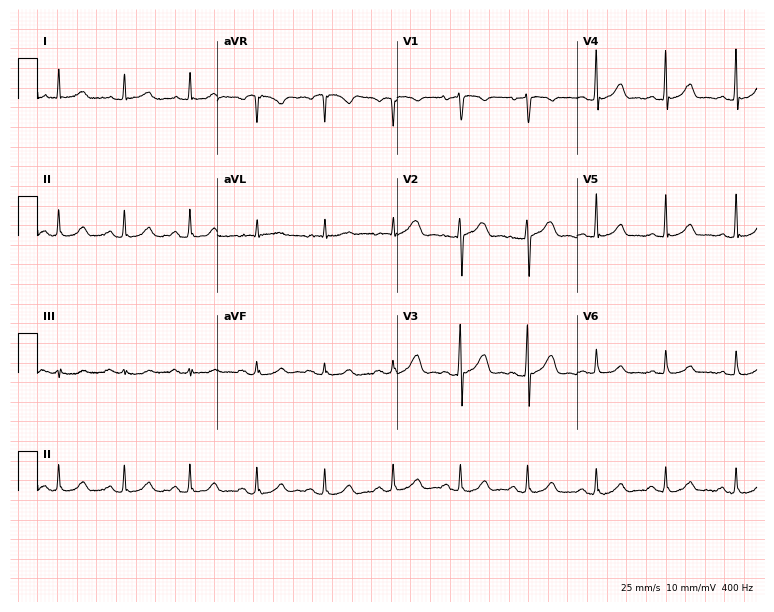
Resting 12-lead electrocardiogram (7.3-second recording at 400 Hz). Patient: a 62-year-old female. None of these six findings is recorded: first-degree AV block, right bundle branch block, left bundle branch block, sinus bradycardia, atrial fibrillation, sinus tachycardia.